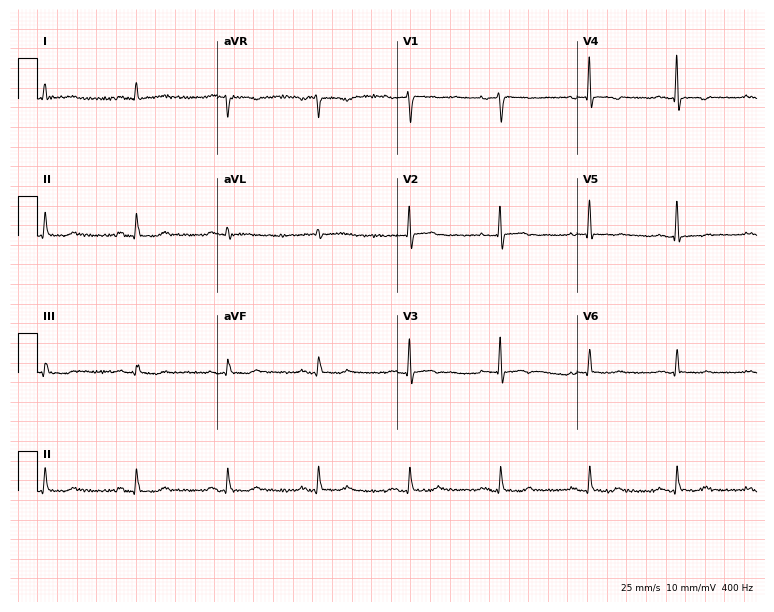
Resting 12-lead electrocardiogram. Patient: a female, 74 years old. None of these six findings is recorded: first-degree AV block, right bundle branch block, left bundle branch block, sinus bradycardia, atrial fibrillation, sinus tachycardia.